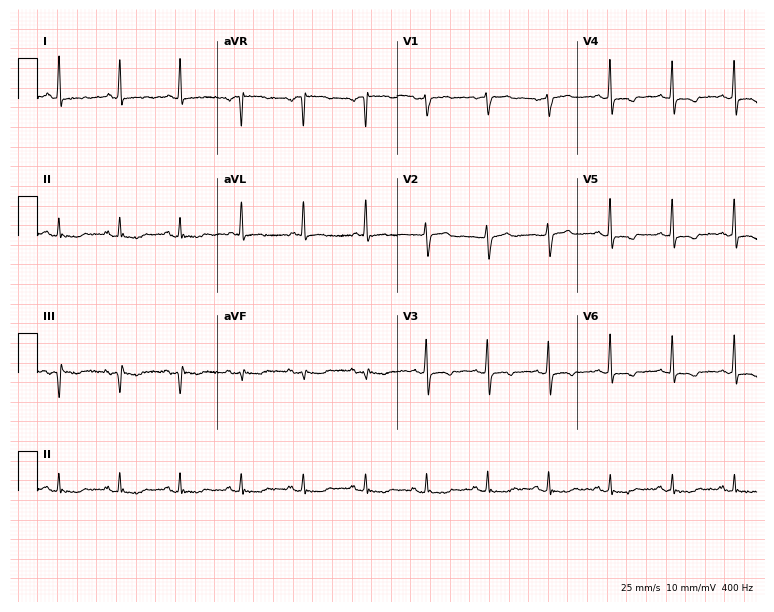
Resting 12-lead electrocardiogram. Patient: a 72-year-old female. None of these six findings is recorded: first-degree AV block, right bundle branch block, left bundle branch block, sinus bradycardia, atrial fibrillation, sinus tachycardia.